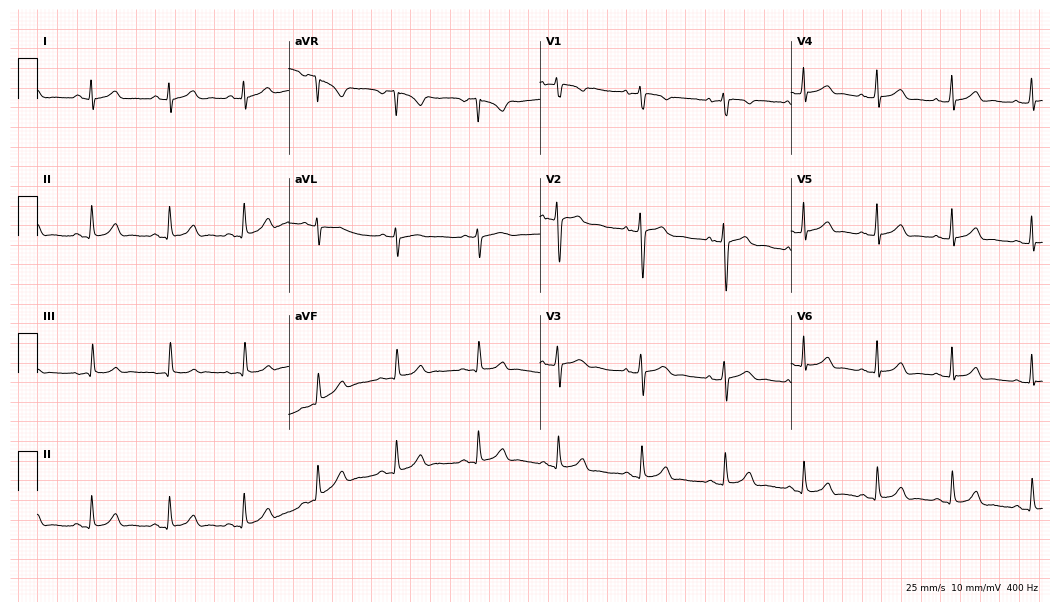
12-lead ECG from a woman, 18 years old. Recorded interpretation: within normal limits.